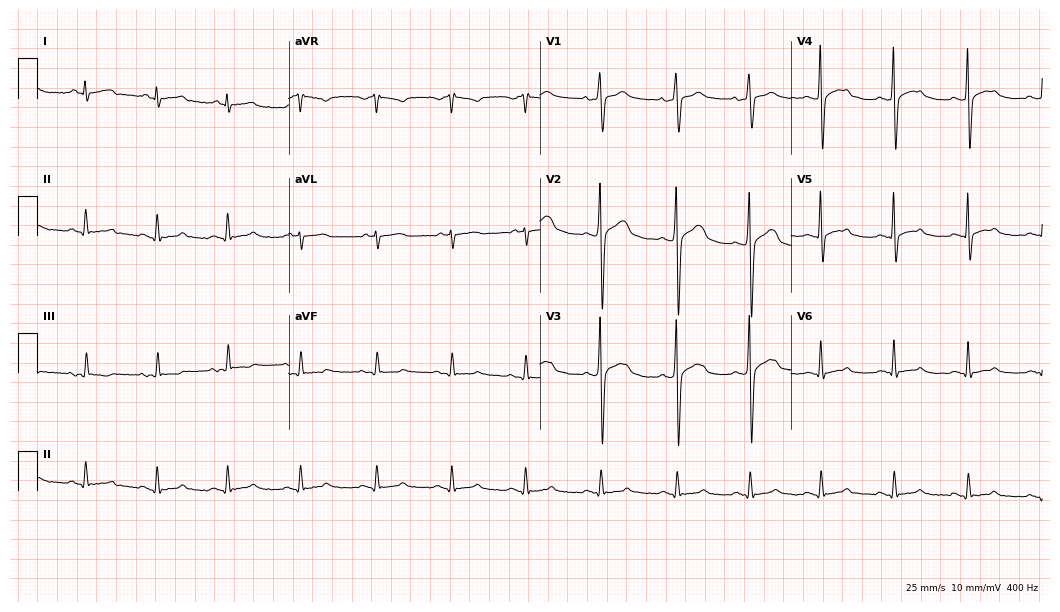
12-lead ECG from a man, 31 years old. Labelled as a normal ECG.